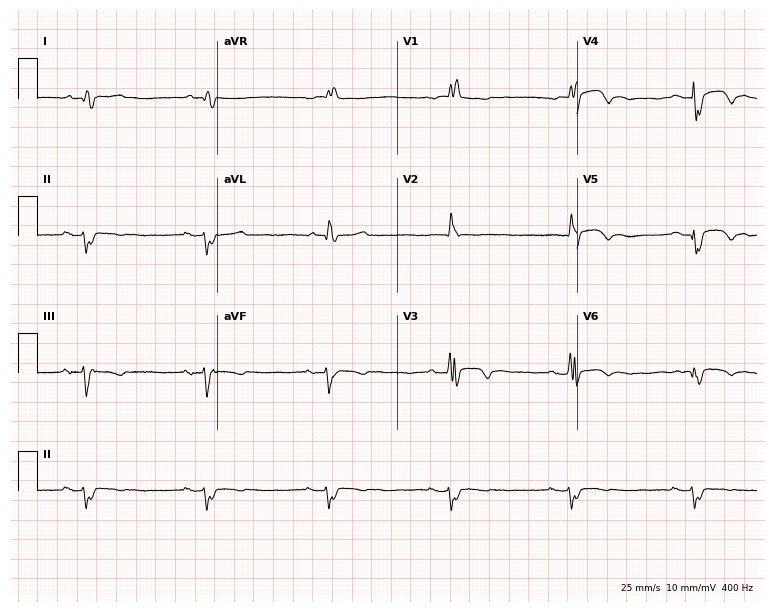
Resting 12-lead electrocardiogram. Patient: a man, 77 years old. The tracing shows first-degree AV block, right bundle branch block (RBBB), sinus bradycardia (a sinus rate of 50 beats per minute or less).